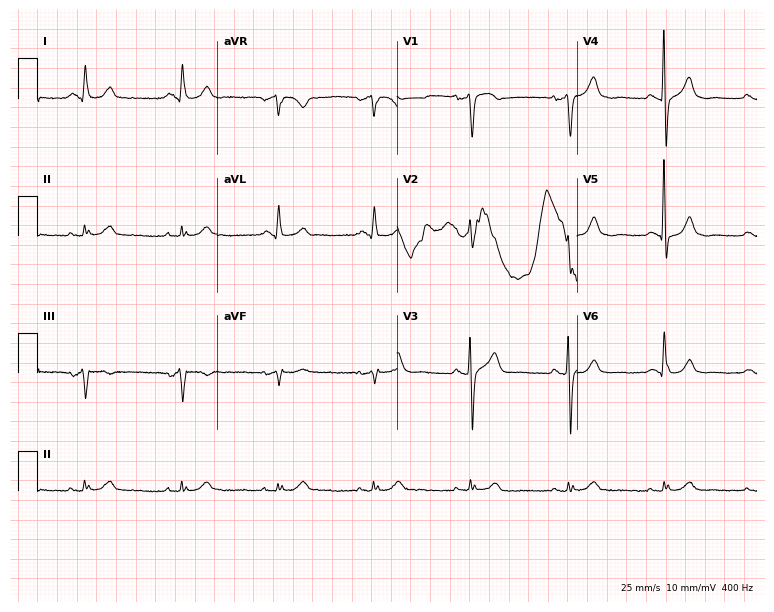
Electrocardiogram (7.3-second recording at 400 Hz), a man, 71 years old. Of the six screened findings (first-degree AV block, right bundle branch block (RBBB), left bundle branch block (LBBB), sinus bradycardia, atrial fibrillation (AF), sinus tachycardia), none is recorded. Other findings, if any, are not listed.